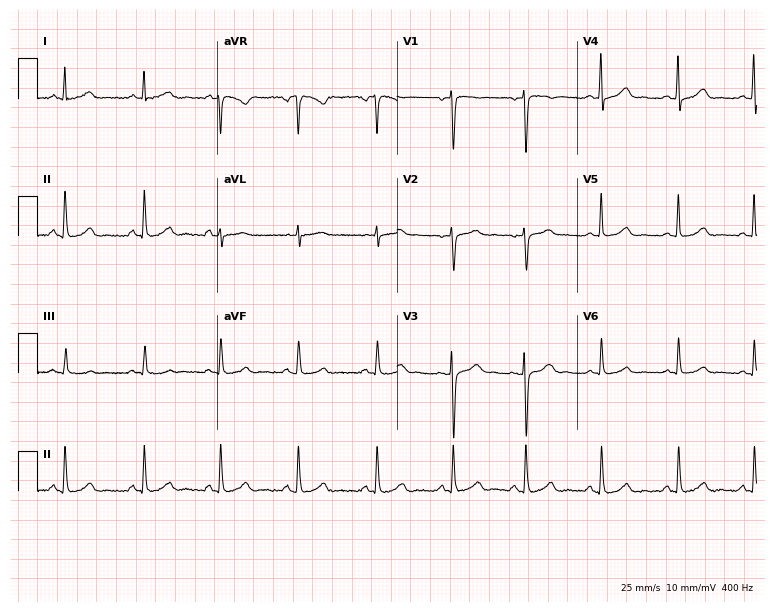
Resting 12-lead electrocardiogram (7.3-second recording at 400 Hz). Patient: a 40-year-old female. None of these six findings is recorded: first-degree AV block, right bundle branch block, left bundle branch block, sinus bradycardia, atrial fibrillation, sinus tachycardia.